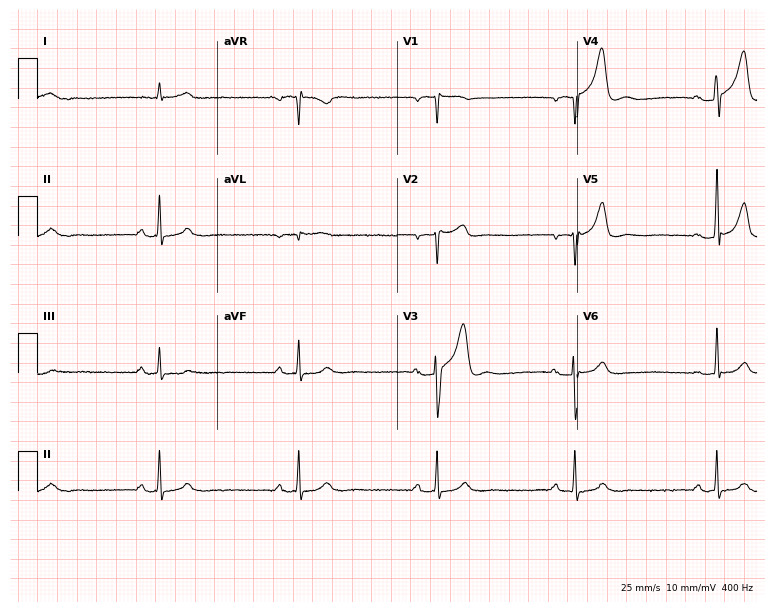
12-lead ECG from a 72-year-old male. Shows first-degree AV block, sinus bradycardia (a sinus rate of 50 beats per minute or less).